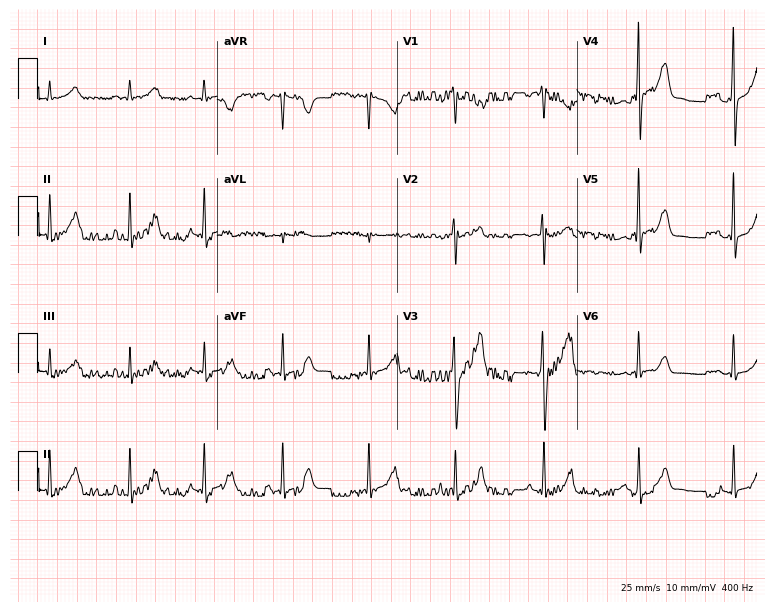
ECG — a 28-year-old female patient. Screened for six findings — first-degree AV block, right bundle branch block, left bundle branch block, sinus bradycardia, atrial fibrillation, sinus tachycardia — none is recorded. Only these six findings were labelled.